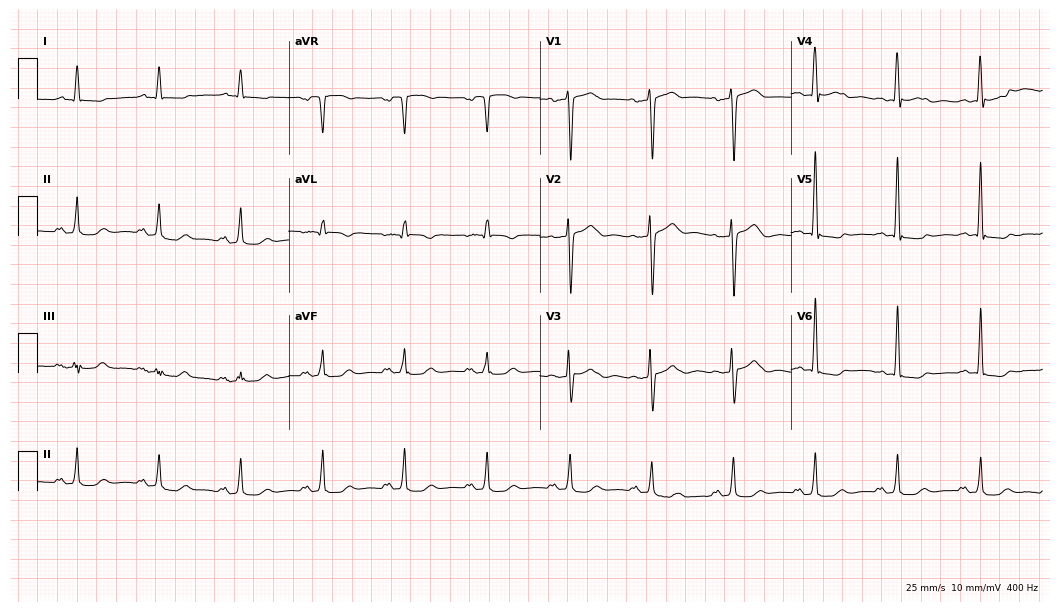
Standard 12-lead ECG recorded from a male patient, 82 years old. None of these six findings is recorded: first-degree AV block, right bundle branch block, left bundle branch block, sinus bradycardia, atrial fibrillation, sinus tachycardia. Only these six findings were labelled.